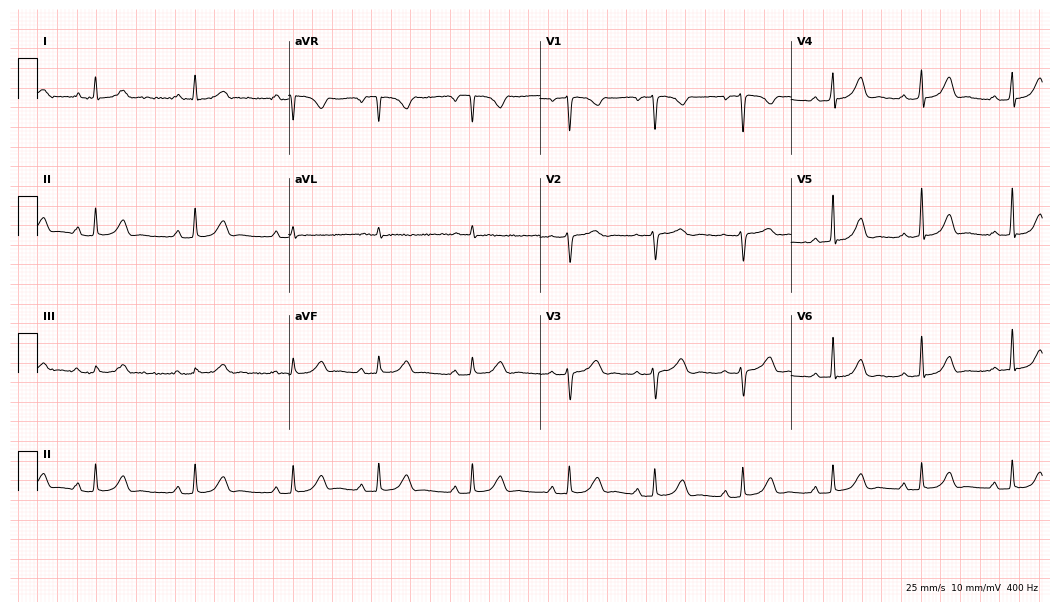
12-lead ECG from a woman, 23 years old. No first-degree AV block, right bundle branch block, left bundle branch block, sinus bradycardia, atrial fibrillation or sinus tachycardia recorded for this tracing. Other findings, if any, are not listed.